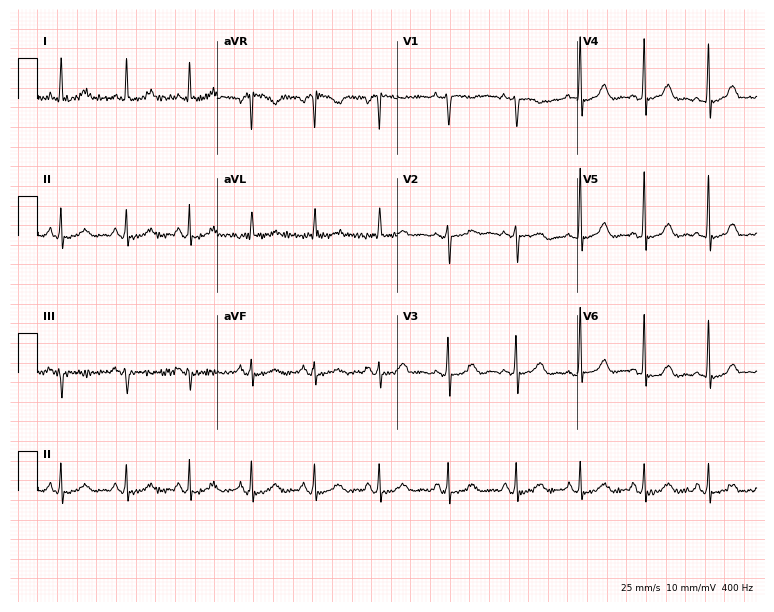
12-lead ECG (7.3-second recording at 400 Hz) from a 75-year-old female. Labelled as a normal ECG.